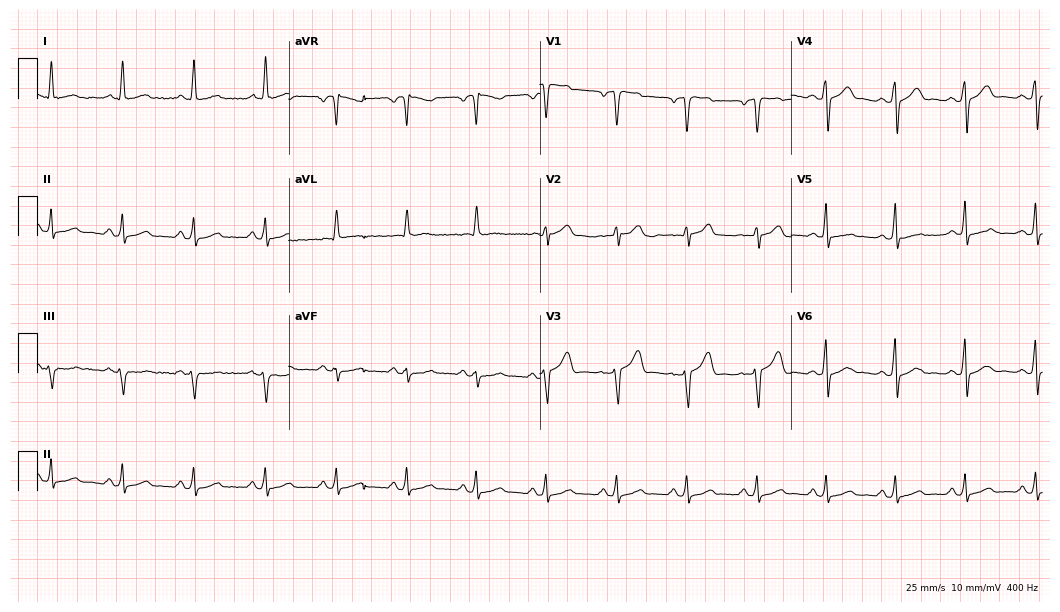
Resting 12-lead electrocardiogram (10.2-second recording at 400 Hz). Patient: a male, 47 years old. Read as a normal ECG.